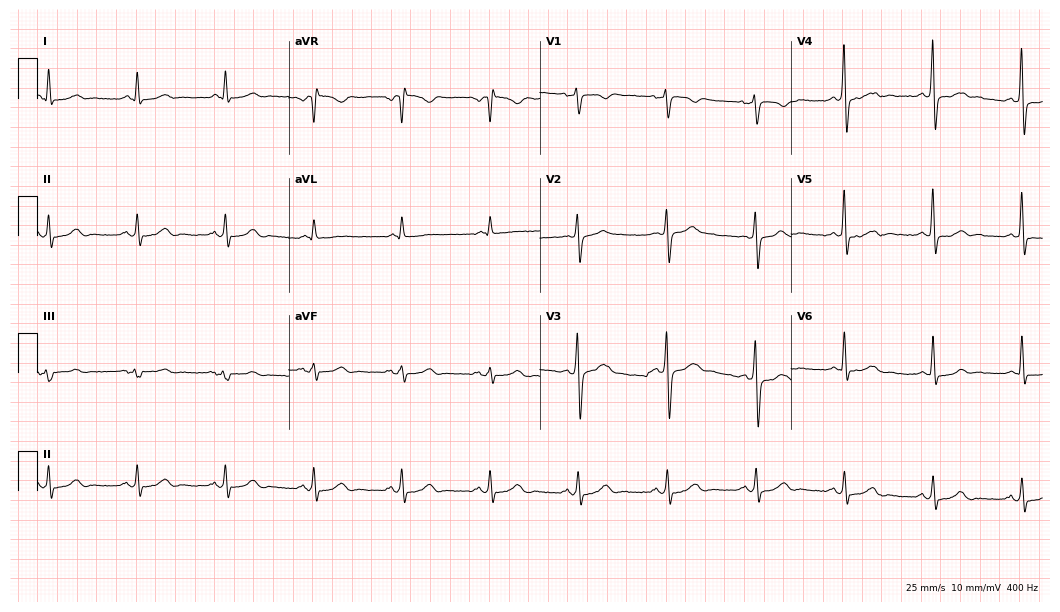
ECG (10.2-second recording at 400 Hz) — a 62-year-old male. Screened for six findings — first-degree AV block, right bundle branch block, left bundle branch block, sinus bradycardia, atrial fibrillation, sinus tachycardia — none is recorded.